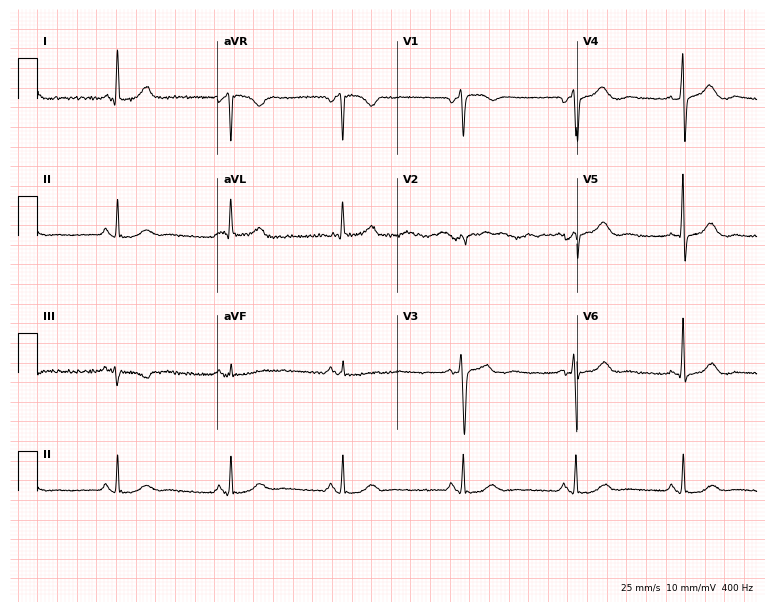
Resting 12-lead electrocardiogram. Patient: a 53-year-old female. Read as a normal ECG.